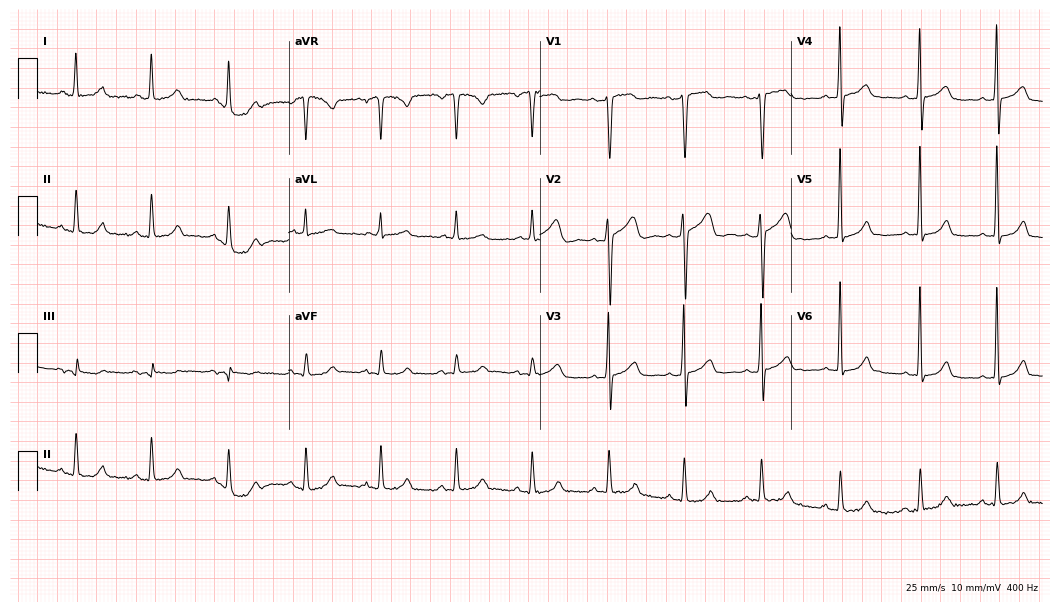
Electrocardiogram (10.2-second recording at 400 Hz), a 42-year-old male patient. Overall reading on record: normal ECG.